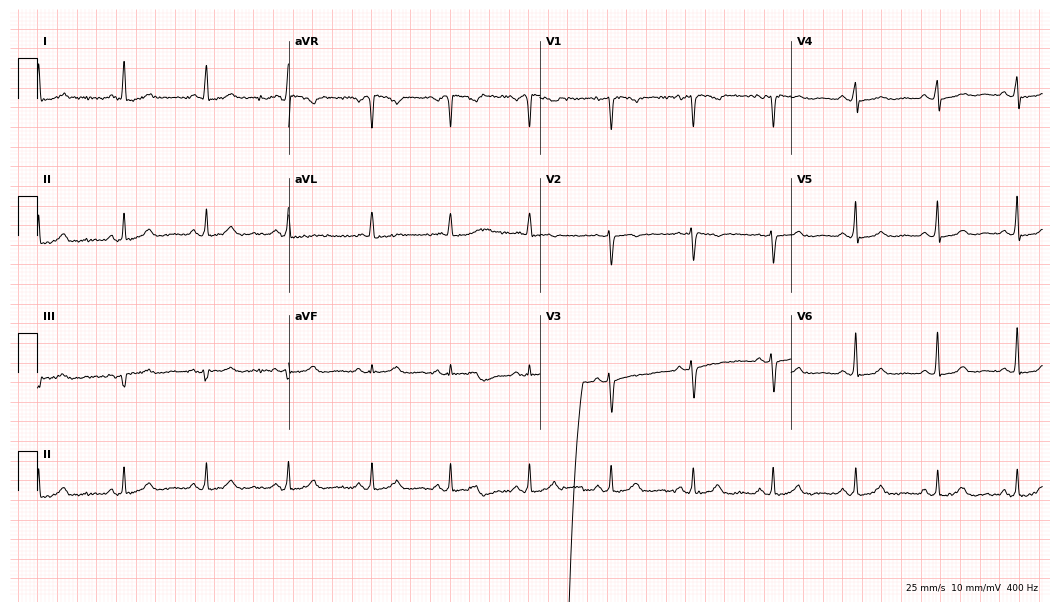
Electrocardiogram, a 79-year-old female. Overall reading on record: normal ECG.